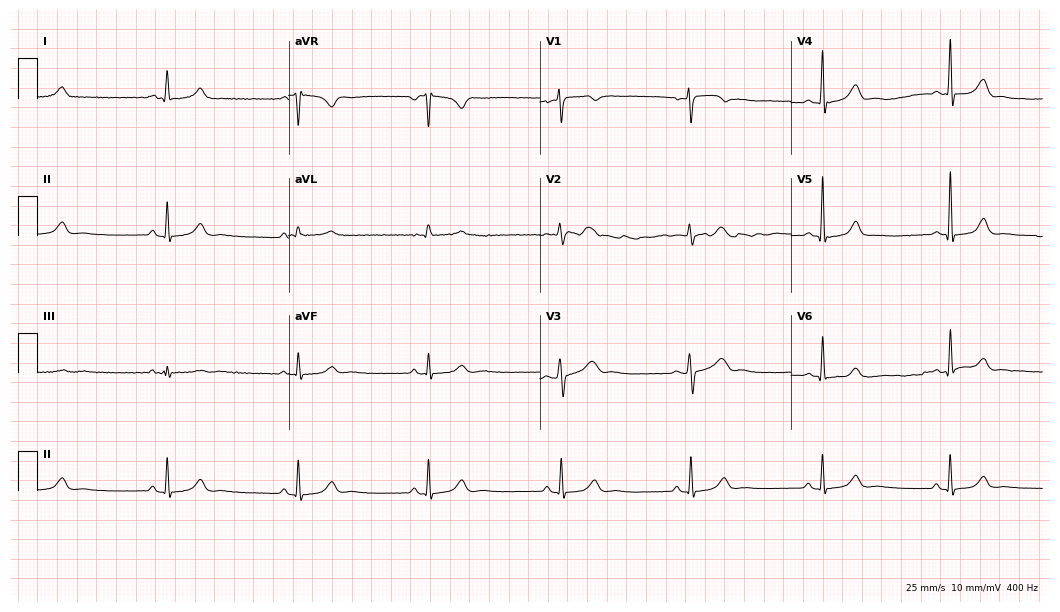
Resting 12-lead electrocardiogram (10.2-second recording at 400 Hz). Patient: a female, 36 years old. The tracing shows sinus bradycardia (a sinus rate of 50 beats per minute or less).